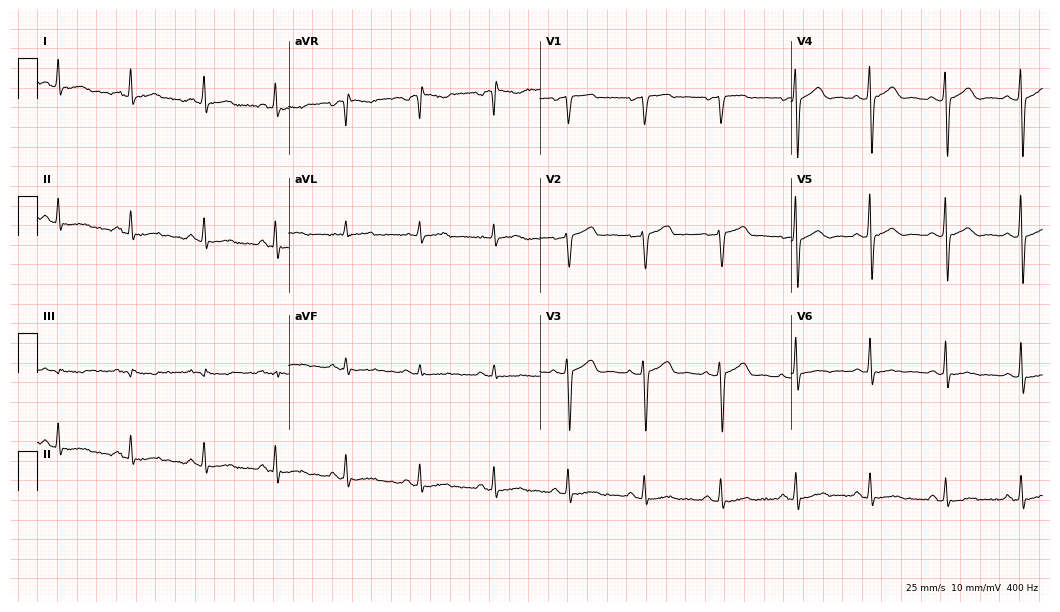
ECG (10.2-second recording at 400 Hz) — a female patient, 30 years old. Screened for six findings — first-degree AV block, right bundle branch block (RBBB), left bundle branch block (LBBB), sinus bradycardia, atrial fibrillation (AF), sinus tachycardia — none is recorded. Findings outside these six are not listed.